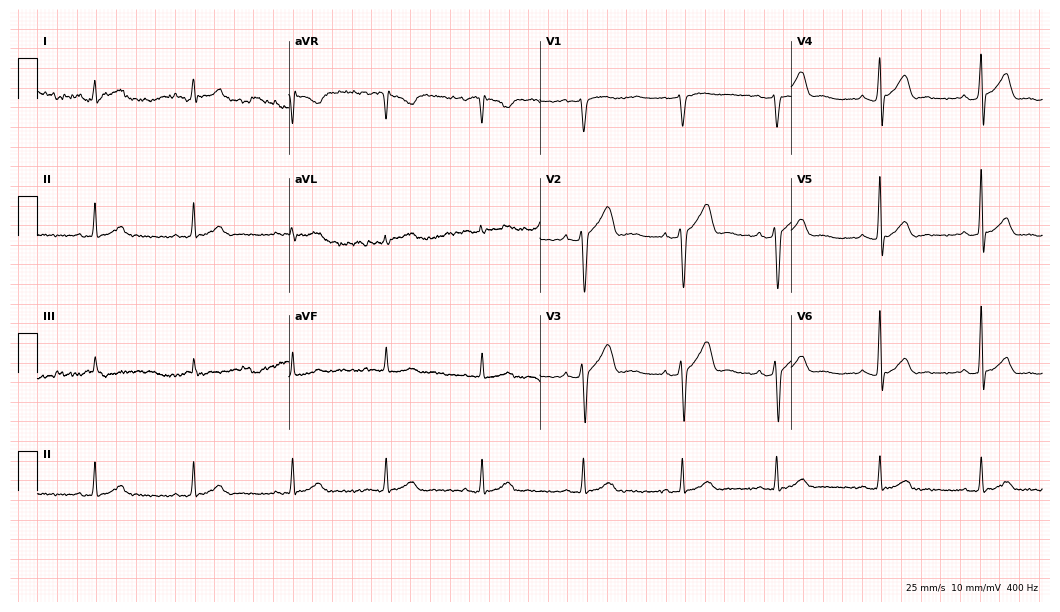
ECG (10.2-second recording at 400 Hz) — a 29-year-old male. Labelled as a normal ECG.